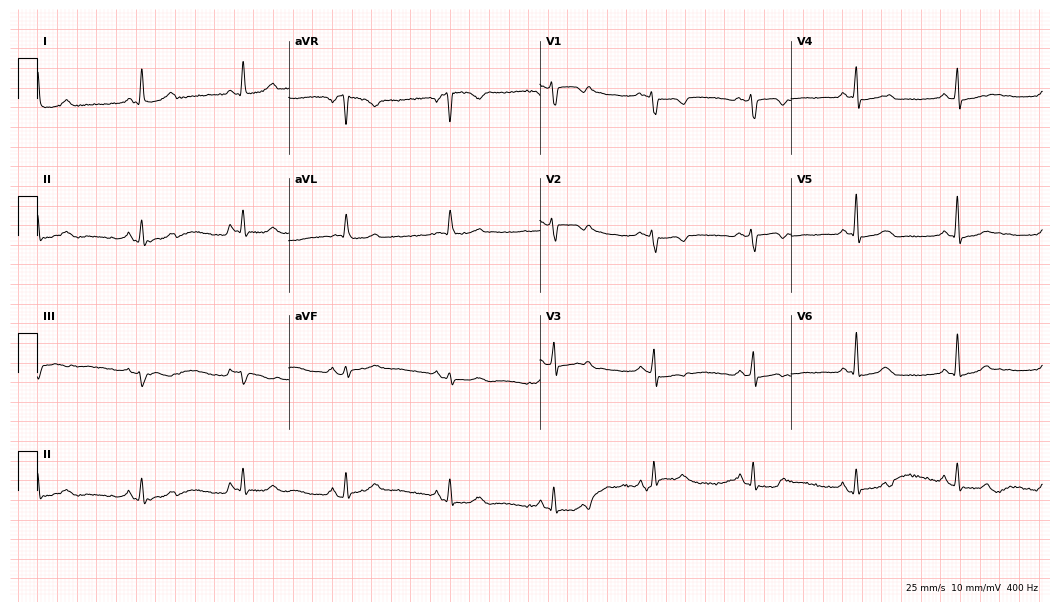
12-lead ECG from a 64-year-old female patient (10.2-second recording at 400 Hz). No first-degree AV block, right bundle branch block, left bundle branch block, sinus bradycardia, atrial fibrillation or sinus tachycardia recorded for this tracing. Only these six findings were labelled.